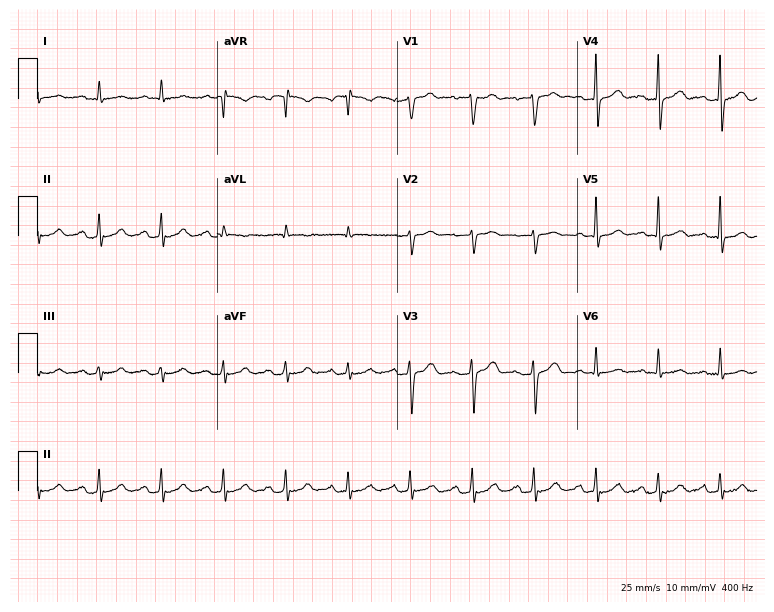
12-lead ECG from a 74-year-old male patient. Labelled as a normal ECG.